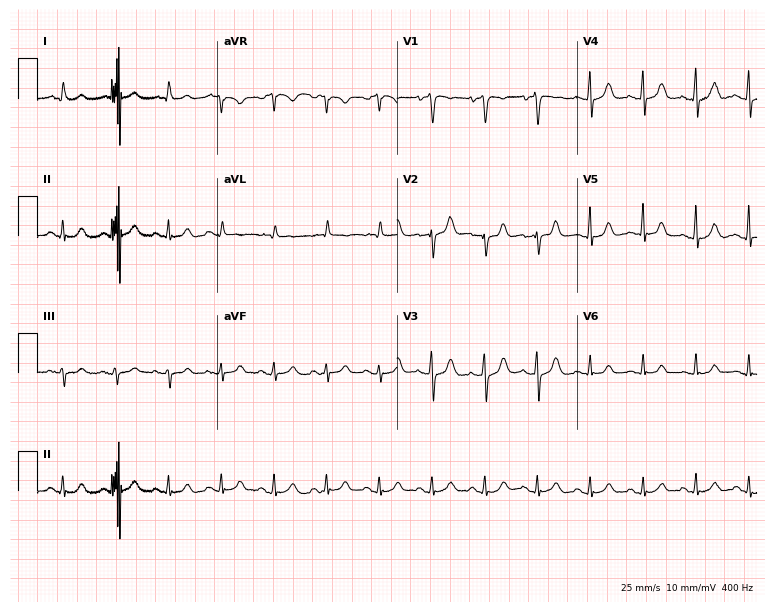
Standard 12-lead ECG recorded from a woman, 81 years old (7.3-second recording at 400 Hz). The tracing shows sinus tachycardia (a sinus rate of 100 beats per minute or more).